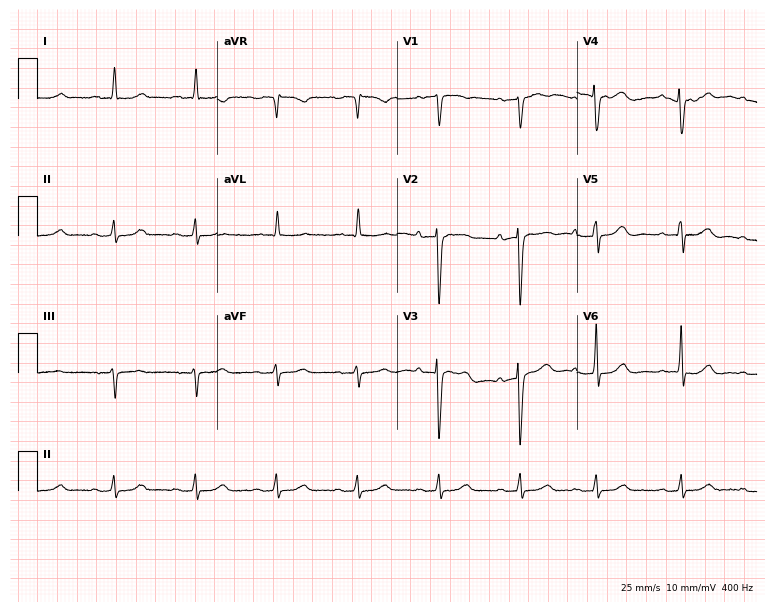
Standard 12-lead ECG recorded from a female patient, 84 years old. None of these six findings is recorded: first-degree AV block, right bundle branch block (RBBB), left bundle branch block (LBBB), sinus bradycardia, atrial fibrillation (AF), sinus tachycardia. Other findings, if any, are not listed.